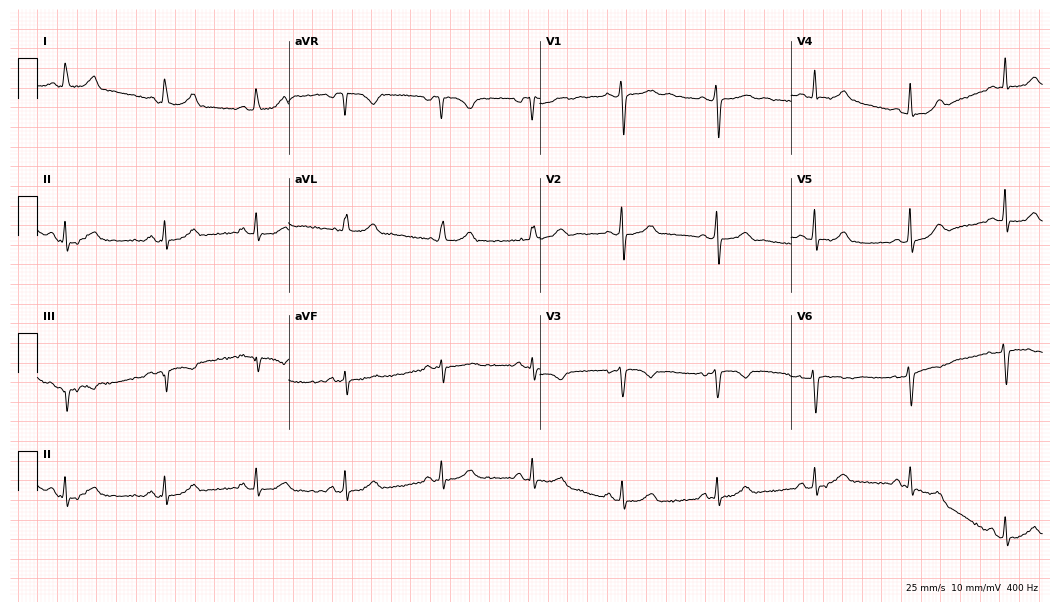
12-lead ECG from a woman, 26 years old (10.2-second recording at 400 Hz). No first-degree AV block, right bundle branch block (RBBB), left bundle branch block (LBBB), sinus bradycardia, atrial fibrillation (AF) or sinus tachycardia recorded for this tracing. Other findings, if any, are not listed.